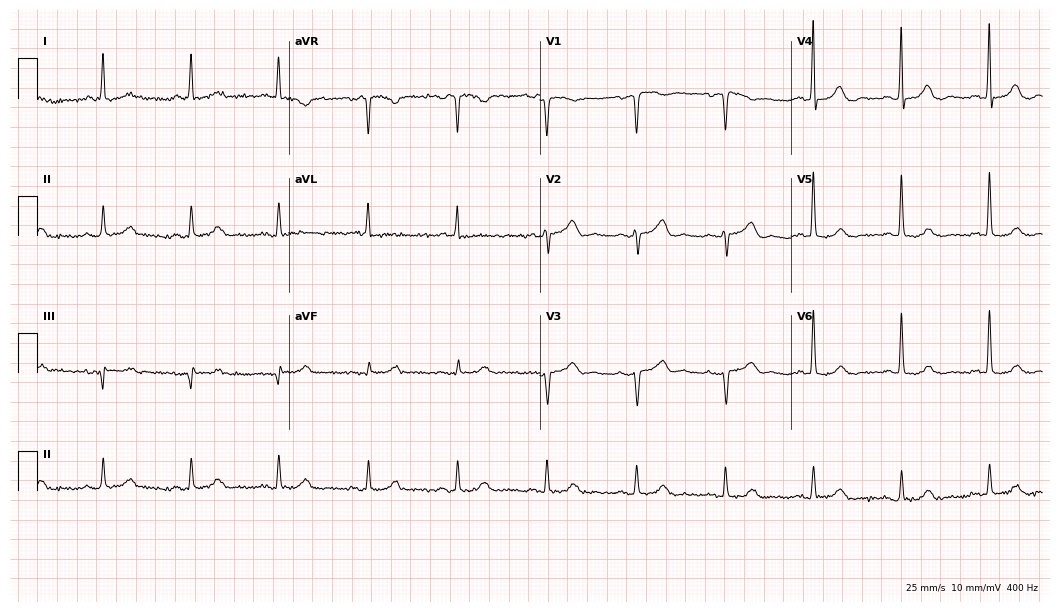
12-lead ECG from a 65-year-old female patient. Screened for six findings — first-degree AV block, right bundle branch block, left bundle branch block, sinus bradycardia, atrial fibrillation, sinus tachycardia — none is recorded.